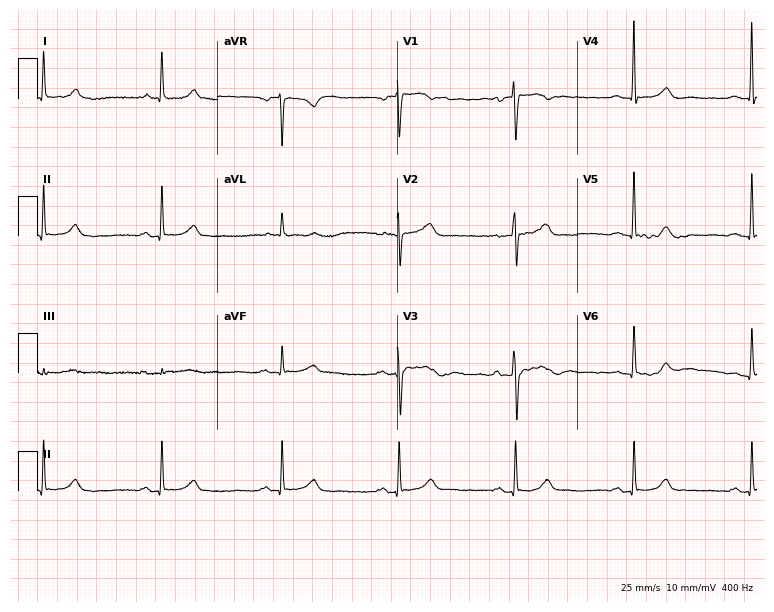
Resting 12-lead electrocardiogram. Patient: a woman, 61 years old. The tracing shows sinus bradycardia (a sinus rate of 50 beats per minute or less).